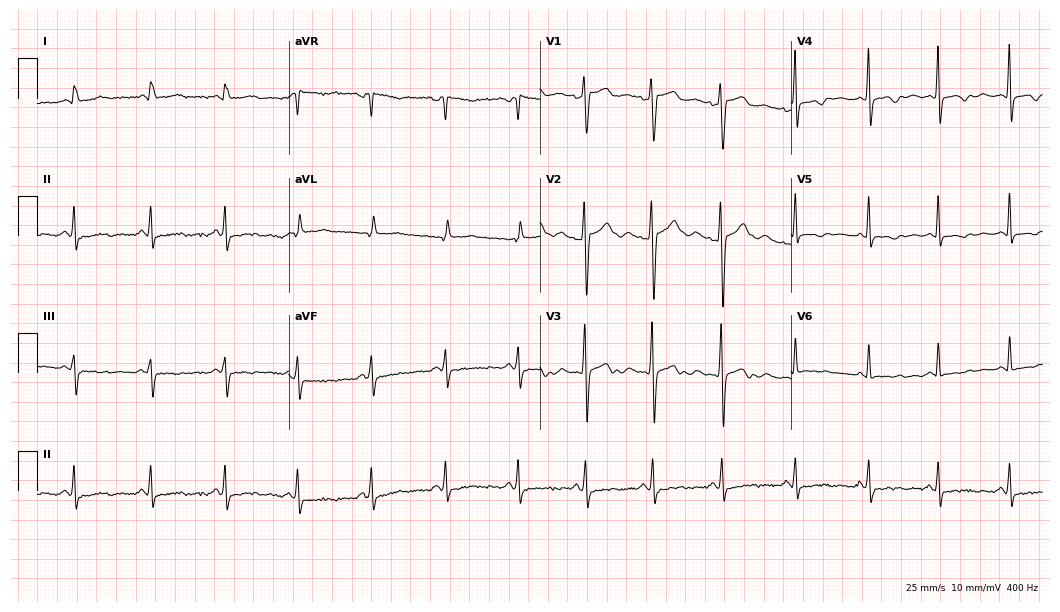
ECG — a 27-year-old female. Screened for six findings — first-degree AV block, right bundle branch block, left bundle branch block, sinus bradycardia, atrial fibrillation, sinus tachycardia — none is recorded. Other findings, if any, are not listed.